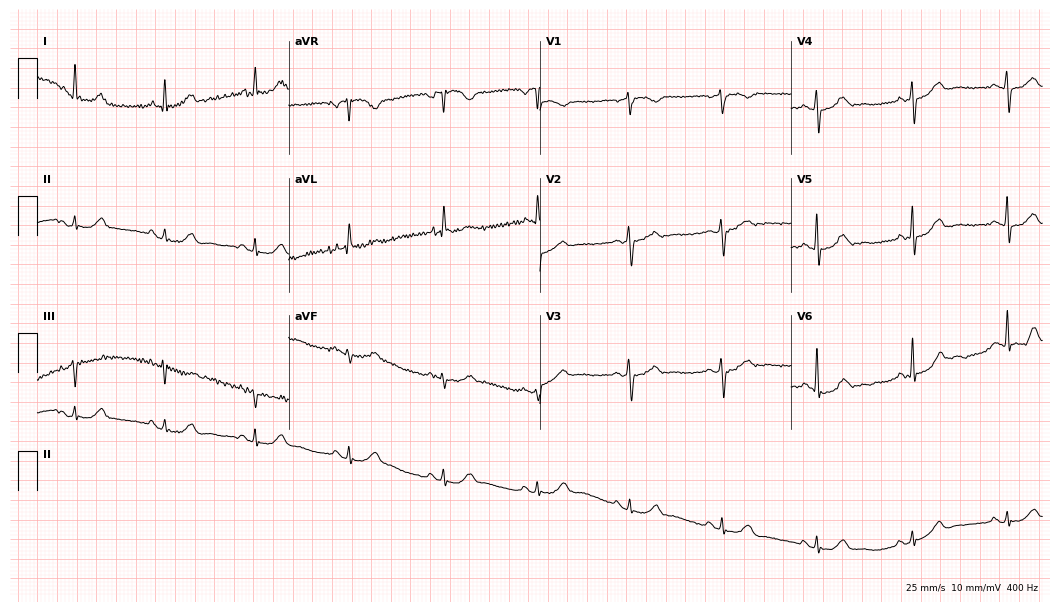
12-lead ECG from a 67-year-old female (10.2-second recording at 400 Hz). No first-degree AV block, right bundle branch block (RBBB), left bundle branch block (LBBB), sinus bradycardia, atrial fibrillation (AF) or sinus tachycardia recorded for this tracing.